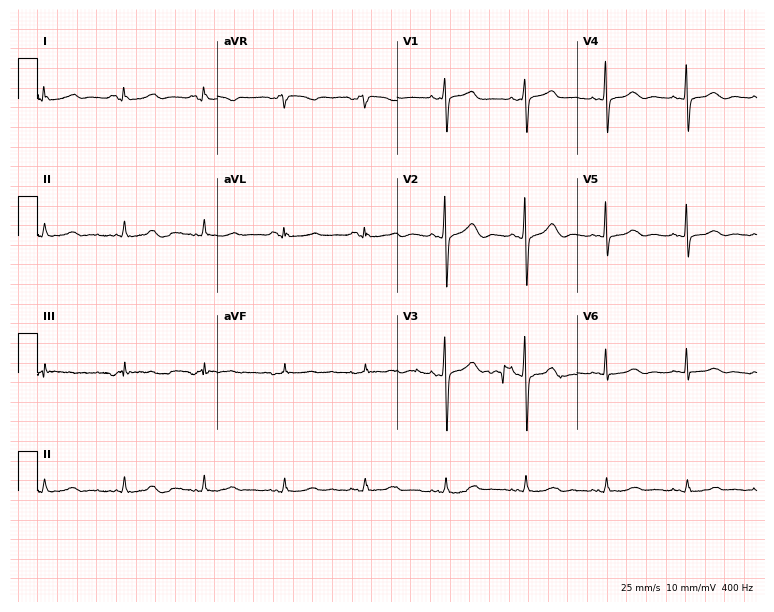
12-lead ECG from a woman, 74 years old. Recorded interpretation: within normal limits.